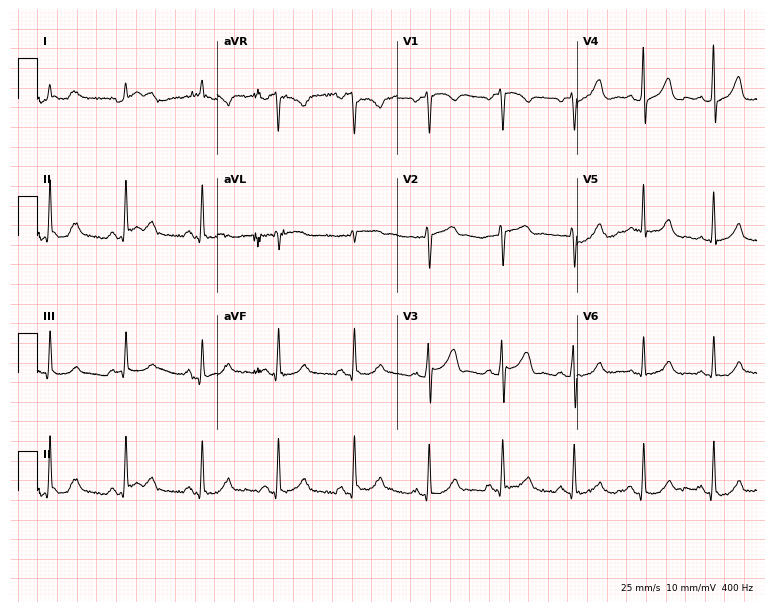
12-lead ECG from a 61-year-old male patient (7.3-second recording at 400 Hz). No first-degree AV block, right bundle branch block (RBBB), left bundle branch block (LBBB), sinus bradycardia, atrial fibrillation (AF) or sinus tachycardia recorded for this tracing.